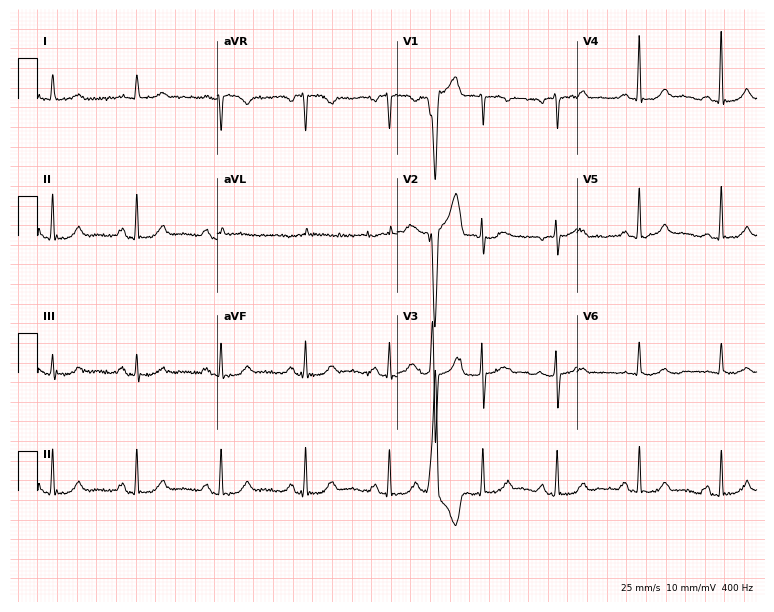
12-lead ECG from a woman, 67 years old. No first-degree AV block, right bundle branch block (RBBB), left bundle branch block (LBBB), sinus bradycardia, atrial fibrillation (AF) or sinus tachycardia recorded for this tracing.